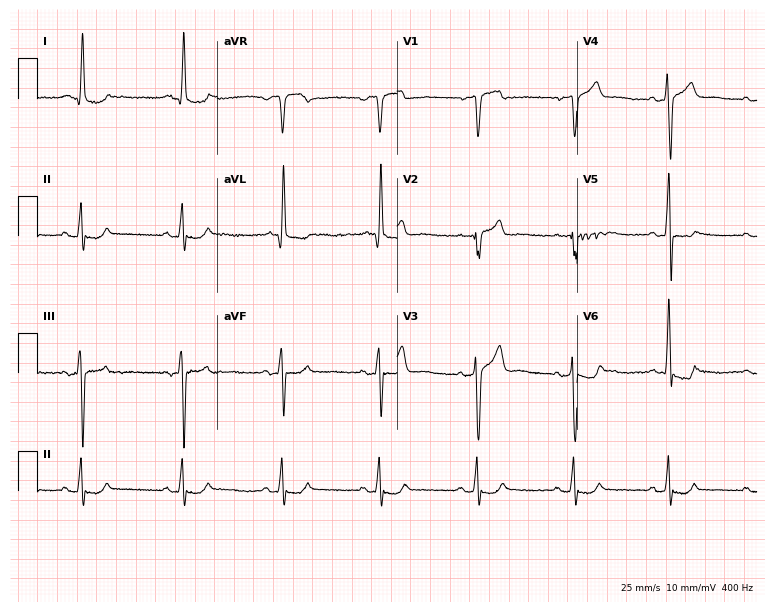
Resting 12-lead electrocardiogram (7.3-second recording at 400 Hz). Patient: a 72-year-old man. None of these six findings is recorded: first-degree AV block, right bundle branch block, left bundle branch block, sinus bradycardia, atrial fibrillation, sinus tachycardia.